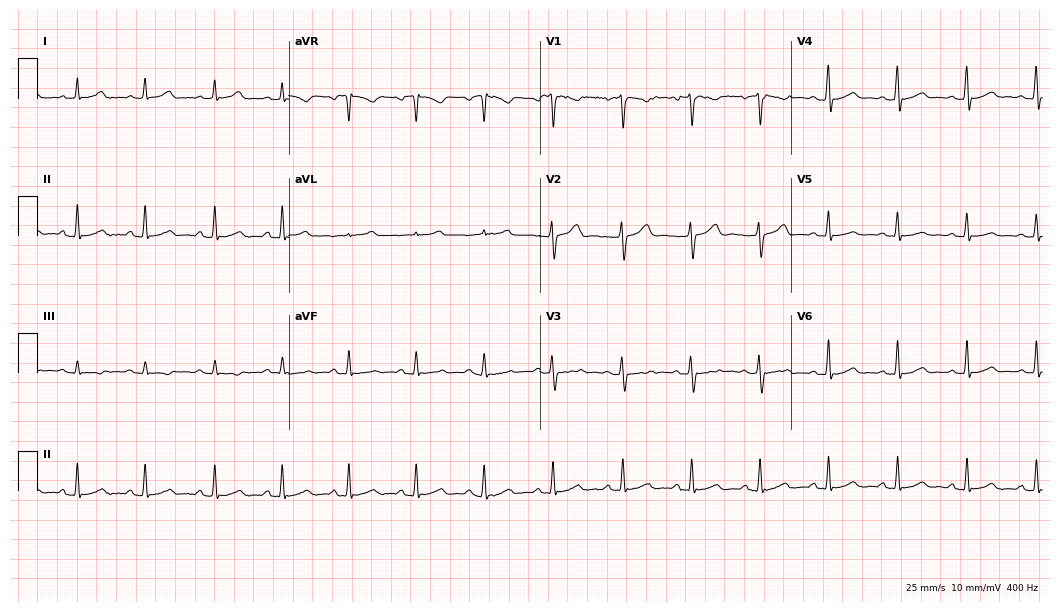
12-lead ECG from a woman, 26 years old. Labelled as a normal ECG.